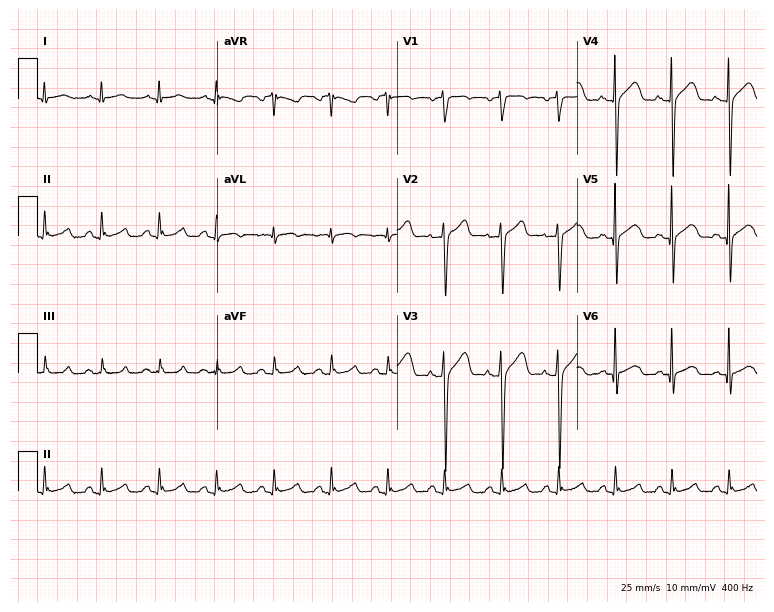
Resting 12-lead electrocardiogram (7.3-second recording at 400 Hz). Patient: a woman, 48 years old. None of these six findings is recorded: first-degree AV block, right bundle branch block, left bundle branch block, sinus bradycardia, atrial fibrillation, sinus tachycardia. Other findings, if any, are not listed.